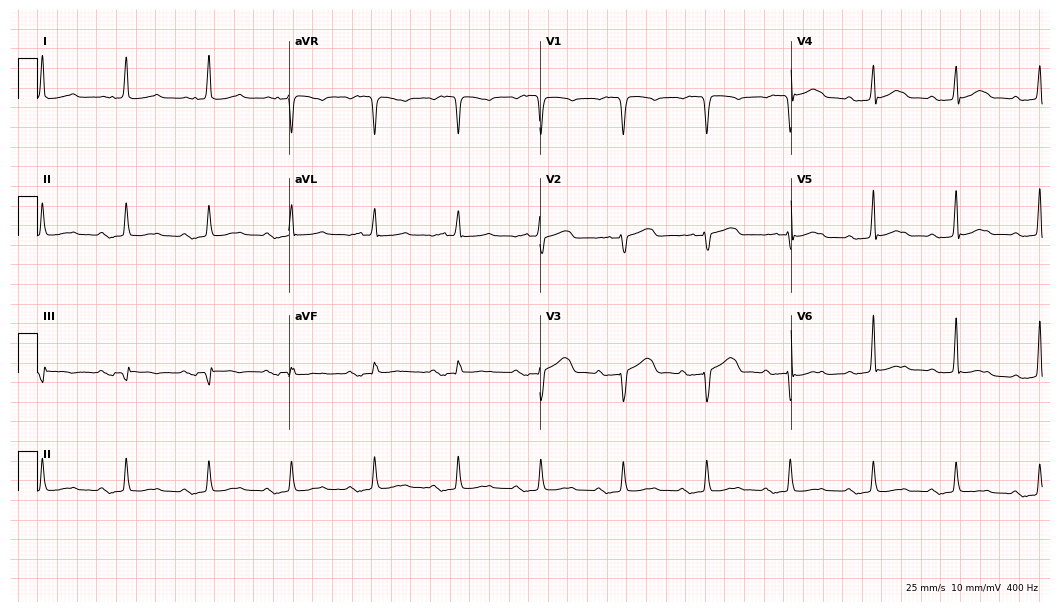
12-lead ECG (10.2-second recording at 400 Hz) from a male, 82 years old. Labelled as a normal ECG.